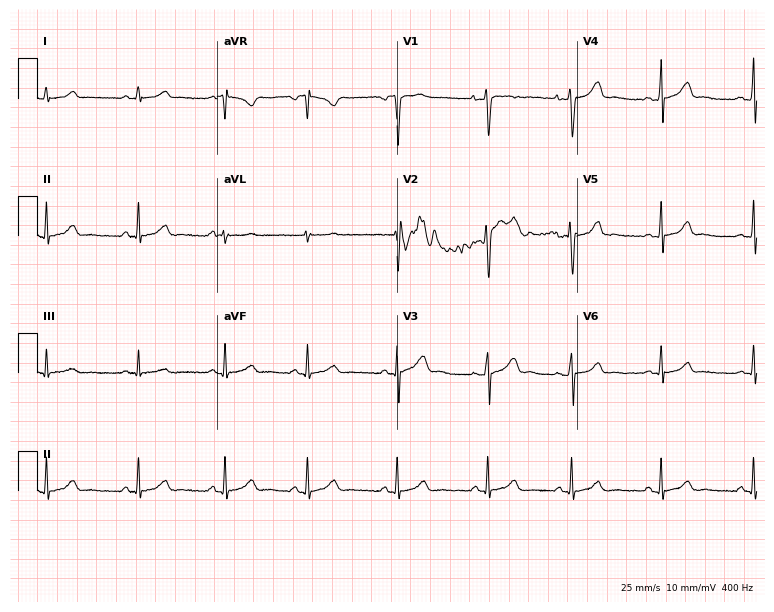
Standard 12-lead ECG recorded from a 17-year-old female (7.3-second recording at 400 Hz). None of these six findings is recorded: first-degree AV block, right bundle branch block (RBBB), left bundle branch block (LBBB), sinus bradycardia, atrial fibrillation (AF), sinus tachycardia. Other findings, if any, are not listed.